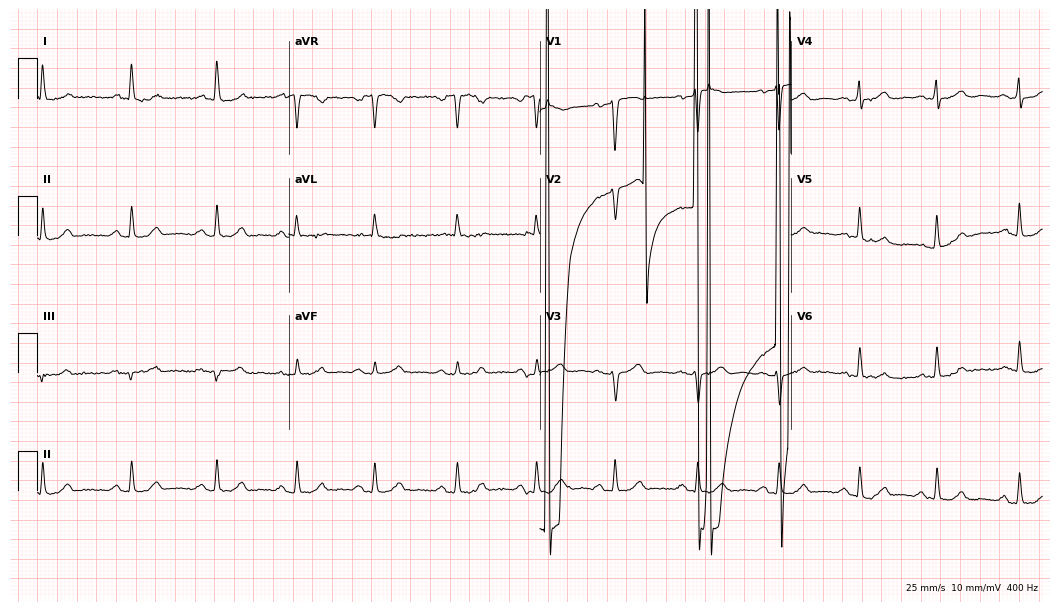
ECG (10.2-second recording at 400 Hz) — an 80-year-old female patient. Screened for six findings — first-degree AV block, right bundle branch block, left bundle branch block, sinus bradycardia, atrial fibrillation, sinus tachycardia — none is recorded.